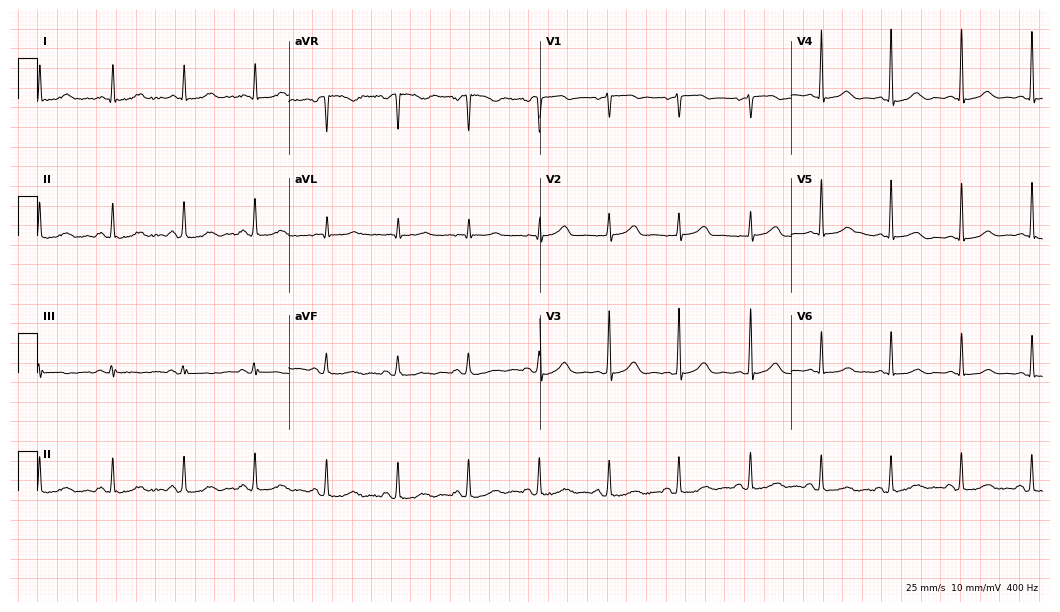
Electrocardiogram, a 75-year-old female patient. Of the six screened findings (first-degree AV block, right bundle branch block, left bundle branch block, sinus bradycardia, atrial fibrillation, sinus tachycardia), none is recorded.